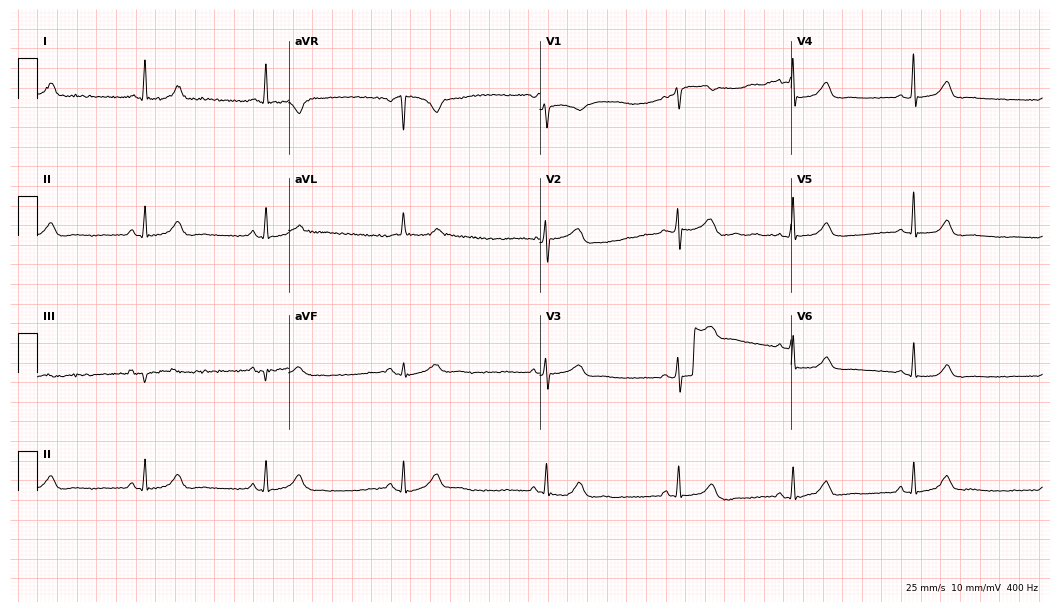
ECG — a woman, 65 years old. Findings include sinus bradycardia (a sinus rate of 50 beats per minute or less).